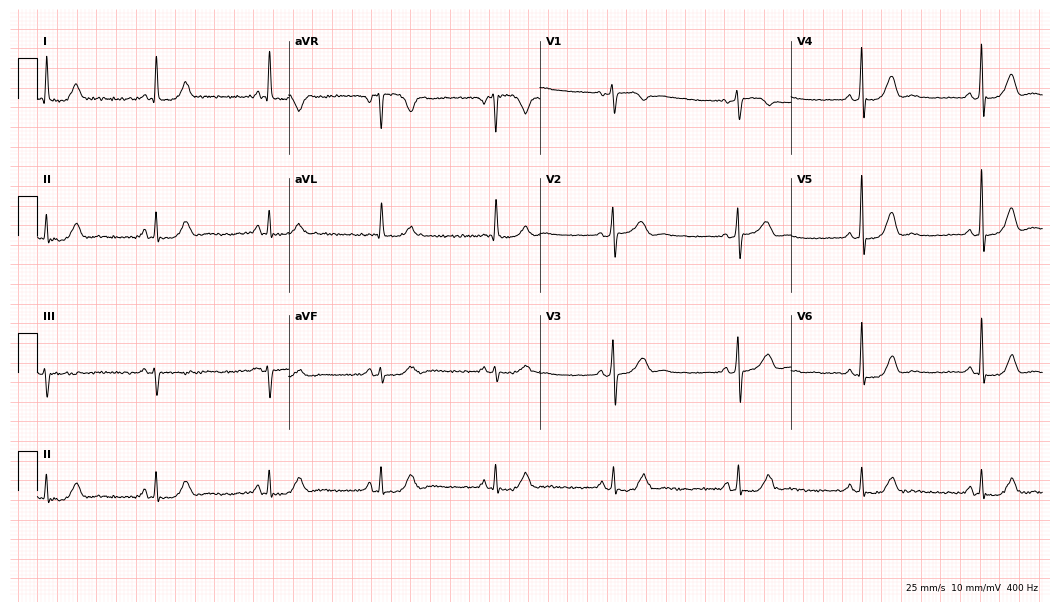
Resting 12-lead electrocardiogram. Patient: a man, 74 years old. Read as a normal ECG.